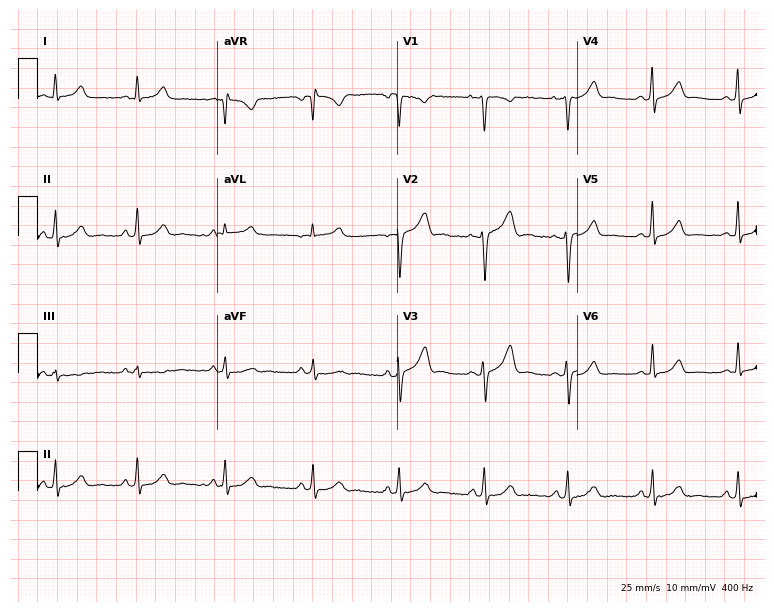
ECG — a 23-year-old female. Screened for six findings — first-degree AV block, right bundle branch block, left bundle branch block, sinus bradycardia, atrial fibrillation, sinus tachycardia — none is recorded. Only these six findings were labelled.